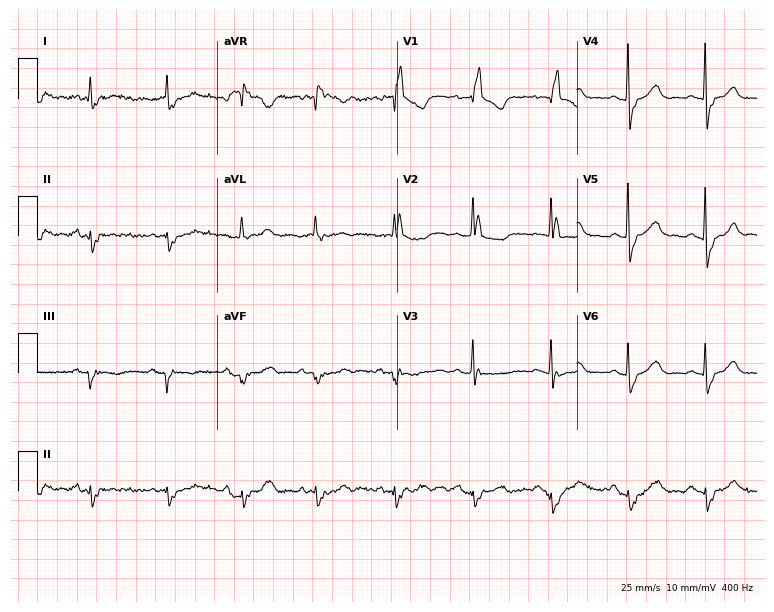
ECG — a 73-year-old female patient. Findings include right bundle branch block.